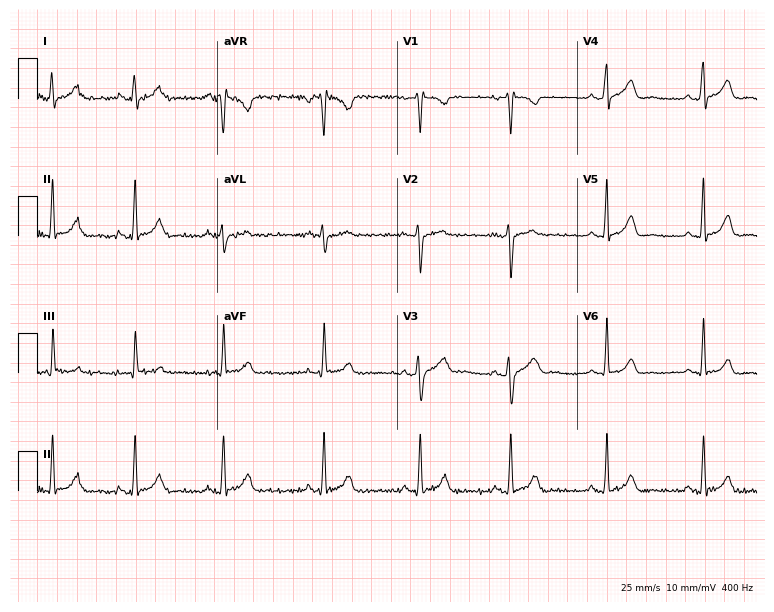
Electrocardiogram (7.3-second recording at 400 Hz), a woman, 24 years old. Of the six screened findings (first-degree AV block, right bundle branch block, left bundle branch block, sinus bradycardia, atrial fibrillation, sinus tachycardia), none is recorded.